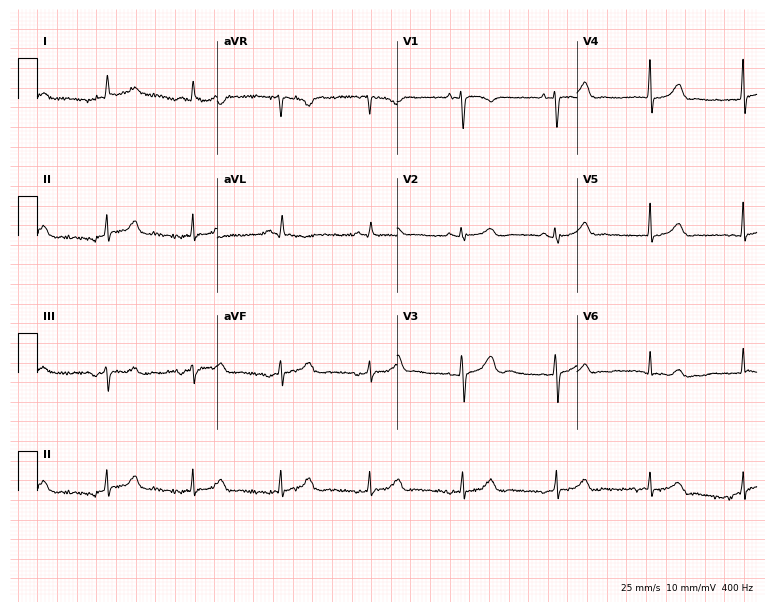
Resting 12-lead electrocardiogram. Patient: a female, 62 years old. Read as a normal ECG.